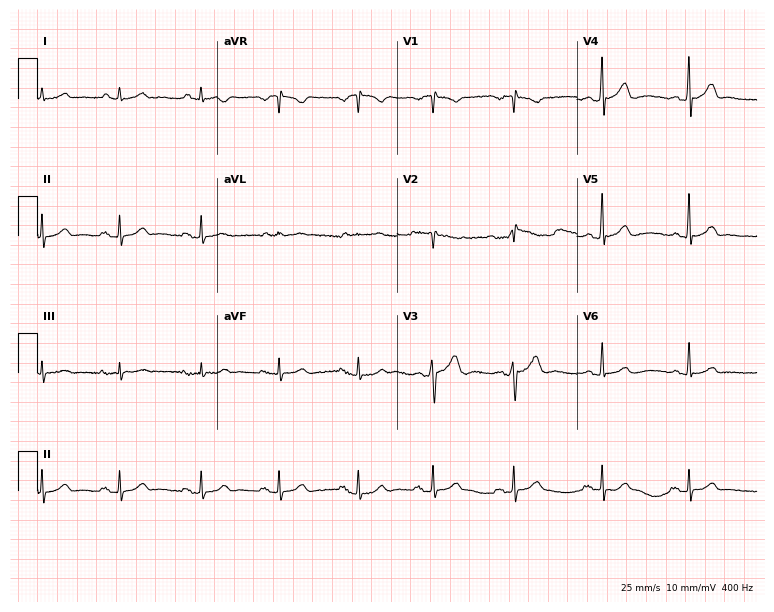
ECG (7.3-second recording at 400 Hz) — a 66-year-old male. Labelled as a normal ECG.